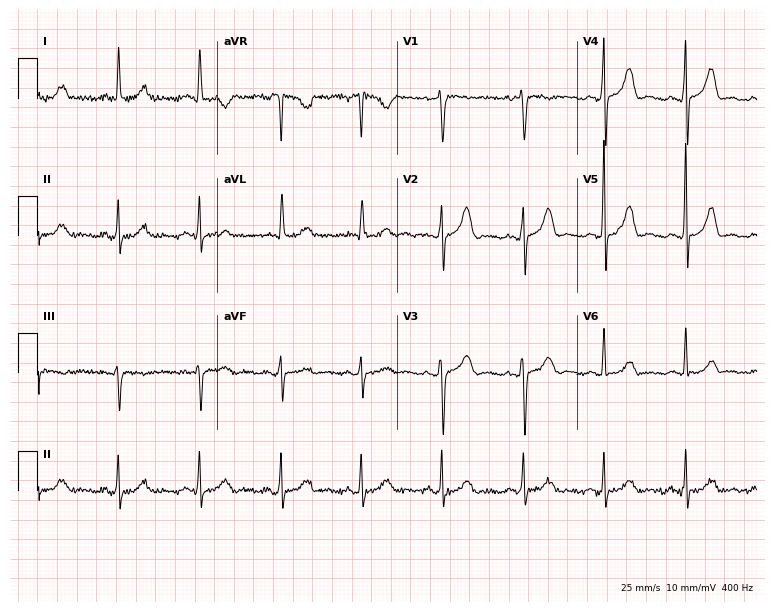
Standard 12-lead ECG recorded from a 52-year-old female patient (7.3-second recording at 400 Hz). Read as a normal ECG.